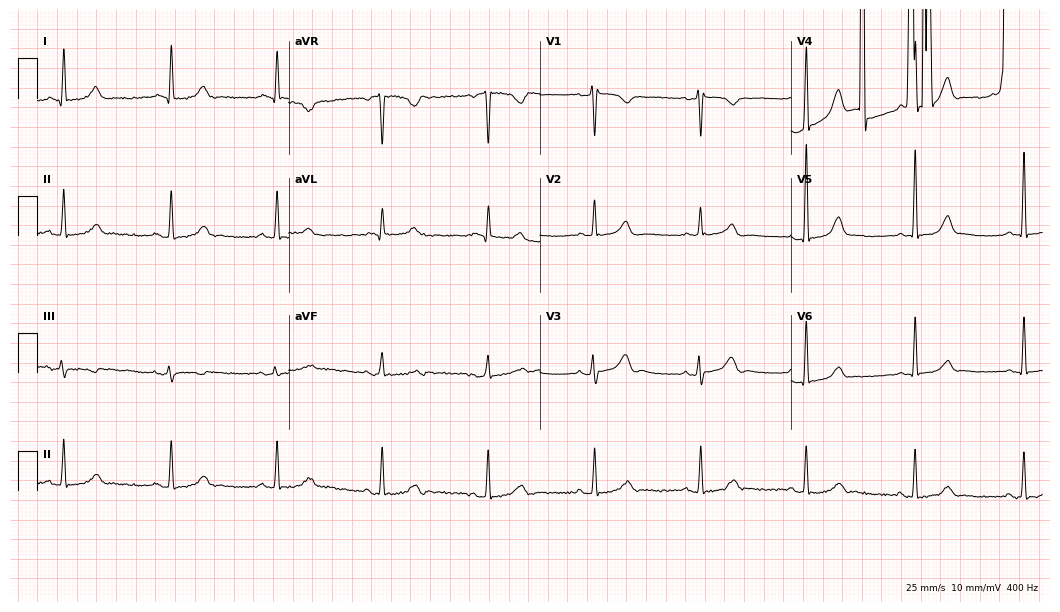
Resting 12-lead electrocardiogram (10.2-second recording at 400 Hz). Patient: a 55-year-old woman. None of these six findings is recorded: first-degree AV block, right bundle branch block, left bundle branch block, sinus bradycardia, atrial fibrillation, sinus tachycardia.